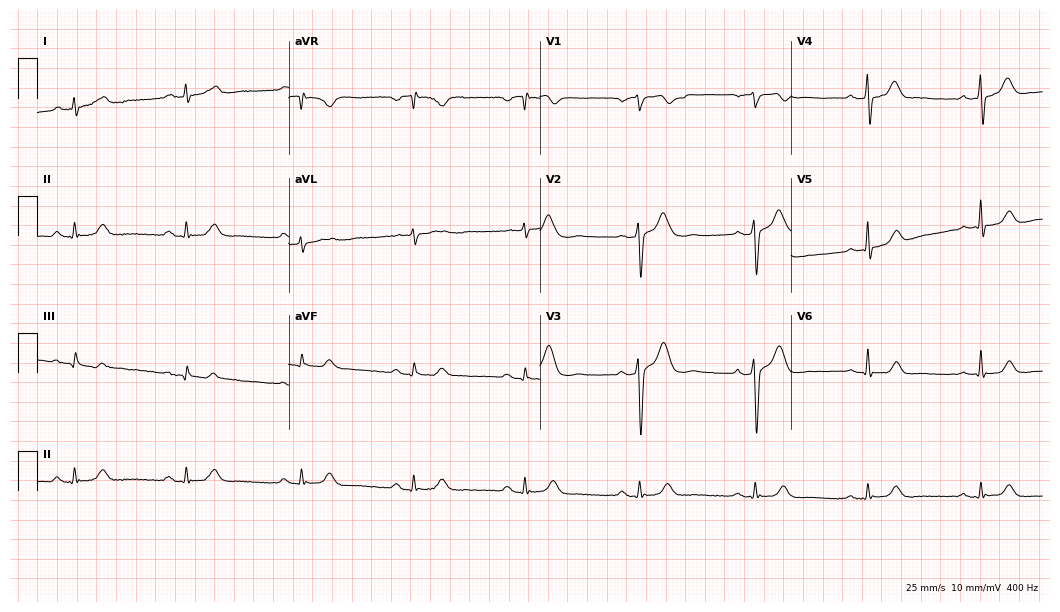
Standard 12-lead ECG recorded from a 45-year-old man. Read as a normal ECG.